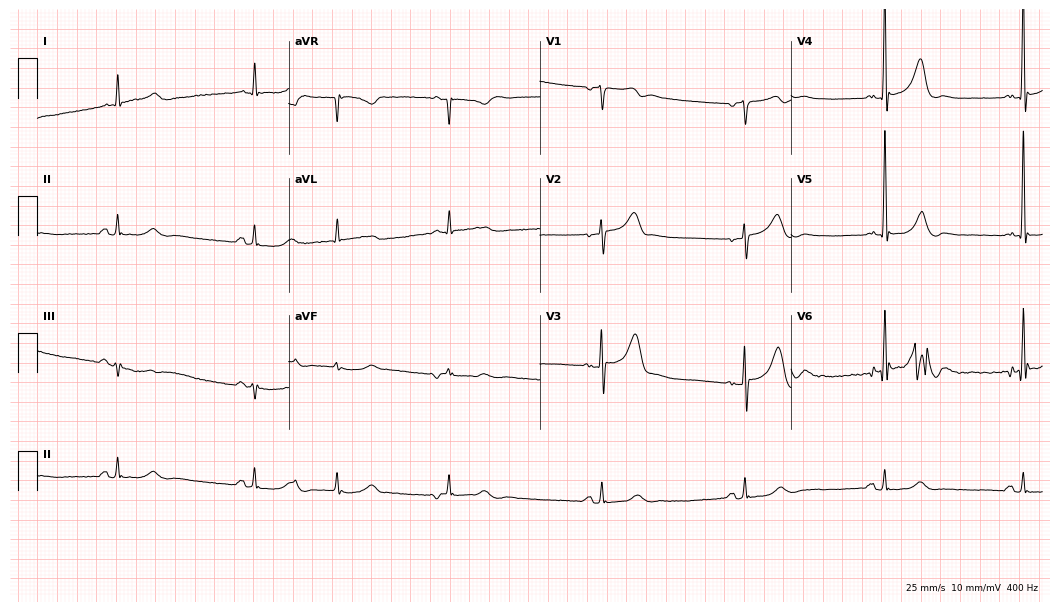
Resting 12-lead electrocardiogram. Patient: a male, 71 years old. The tracing shows sinus bradycardia (a sinus rate of 50 beats per minute or less), atrial fibrillation (AF).